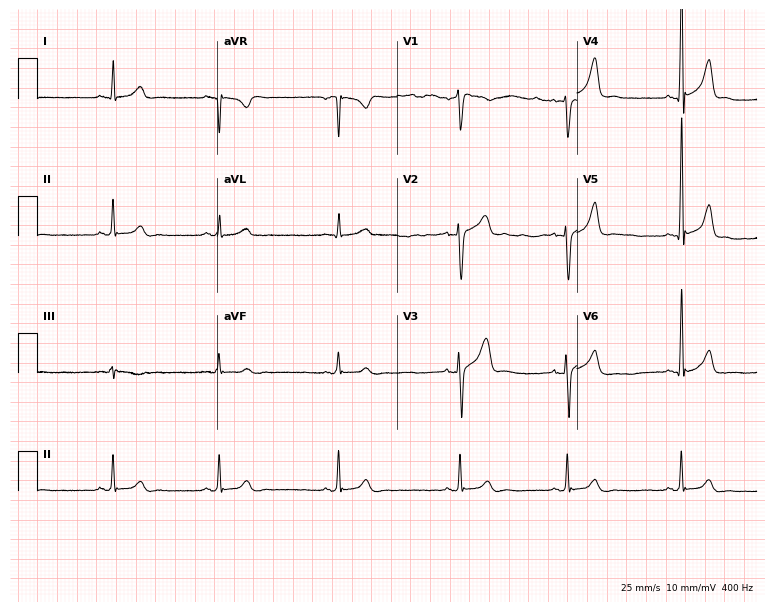
Electrocardiogram, a 23-year-old male patient. Overall reading on record: normal ECG.